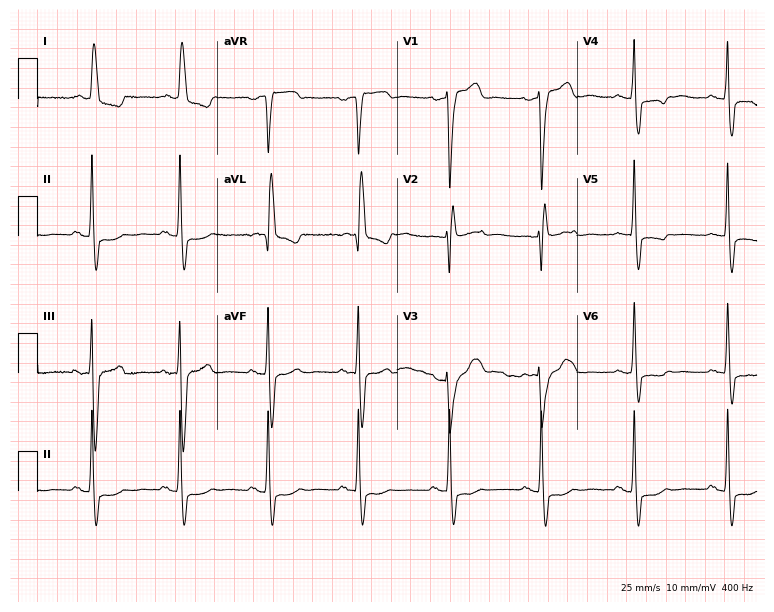
Standard 12-lead ECG recorded from a 79-year-old female. The tracing shows right bundle branch block.